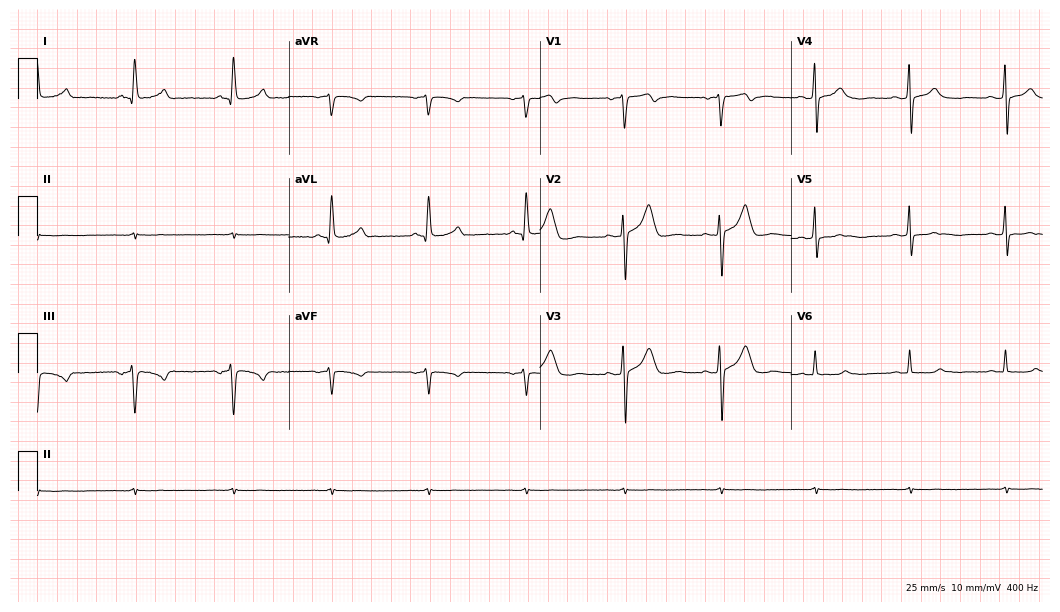
Resting 12-lead electrocardiogram (10.2-second recording at 400 Hz). Patient: a 54-year-old male. None of these six findings is recorded: first-degree AV block, right bundle branch block, left bundle branch block, sinus bradycardia, atrial fibrillation, sinus tachycardia.